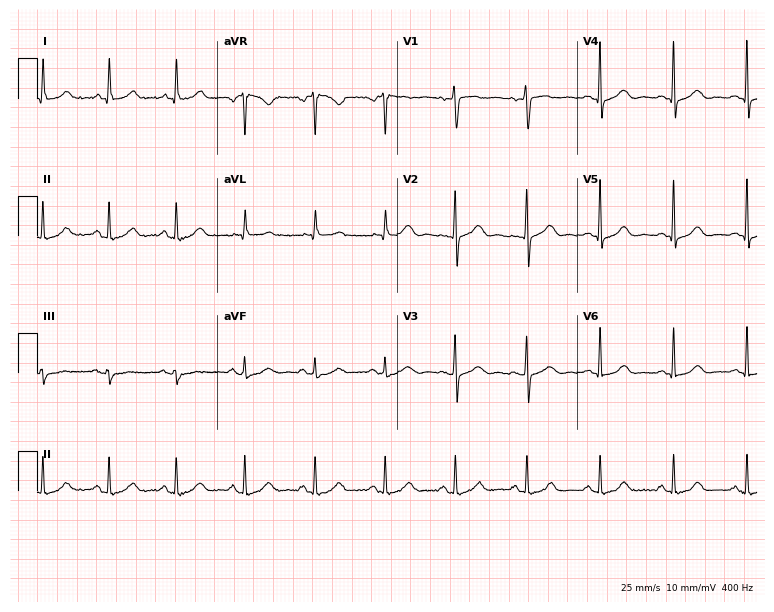
Electrocardiogram (7.3-second recording at 400 Hz), a 48-year-old woman. Overall reading on record: normal ECG.